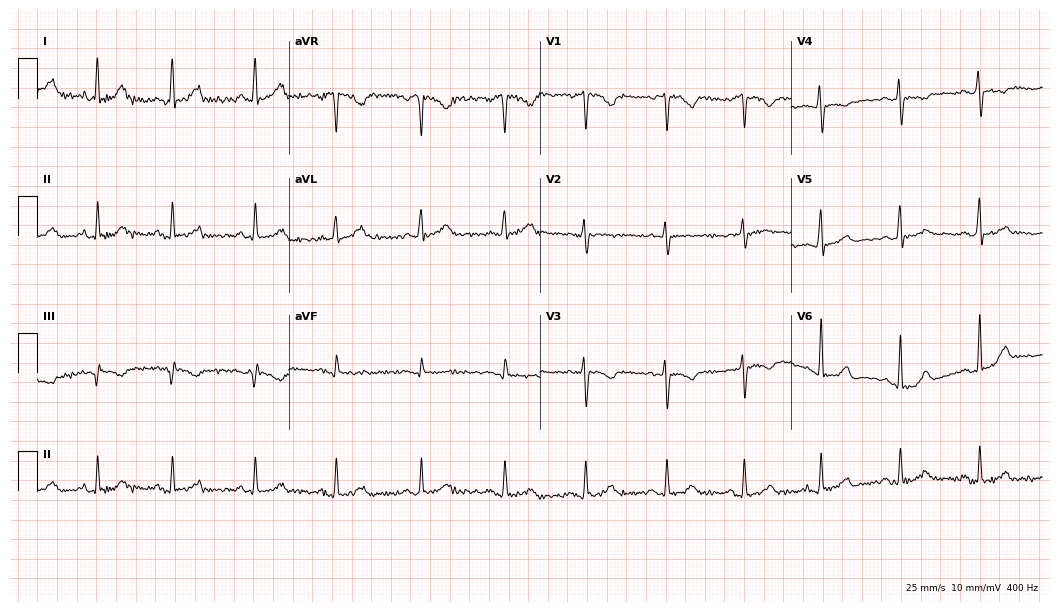
Resting 12-lead electrocardiogram (10.2-second recording at 400 Hz). Patient: a 30-year-old man. None of these six findings is recorded: first-degree AV block, right bundle branch block, left bundle branch block, sinus bradycardia, atrial fibrillation, sinus tachycardia.